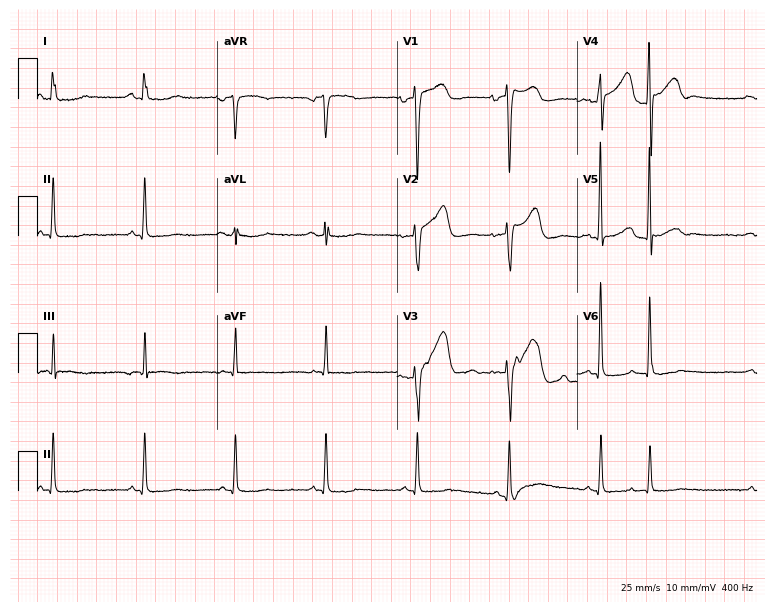
Resting 12-lead electrocardiogram. Patient: an 83-year-old male. None of these six findings is recorded: first-degree AV block, right bundle branch block, left bundle branch block, sinus bradycardia, atrial fibrillation, sinus tachycardia. Only these six findings were labelled.